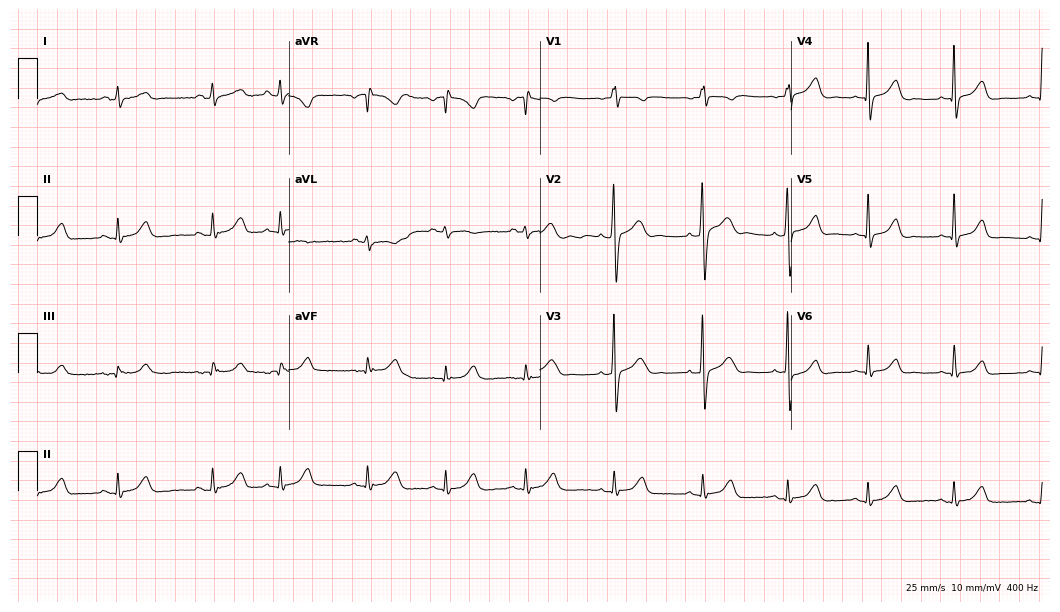
Standard 12-lead ECG recorded from a female patient, 24 years old. Read as a normal ECG.